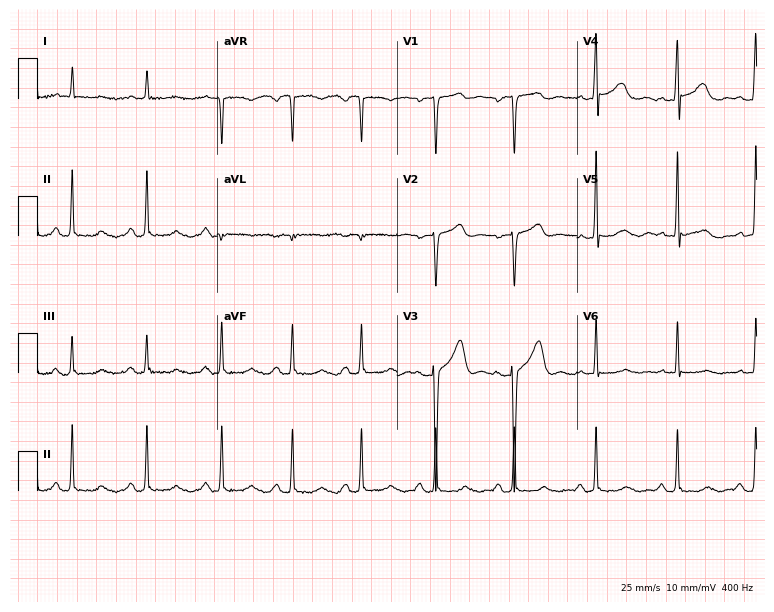
Standard 12-lead ECG recorded from a male patient, 46 years old (7.3-second recording at 400 Hz). None of these six findings is recorded: first-degree AV block, right bundle branch block (RBBB), left bundle branch block (LBBB), sinus bradycardia, atrial fibrillation (AF), sinus tachycardia. Other findings, if any, are not listed.